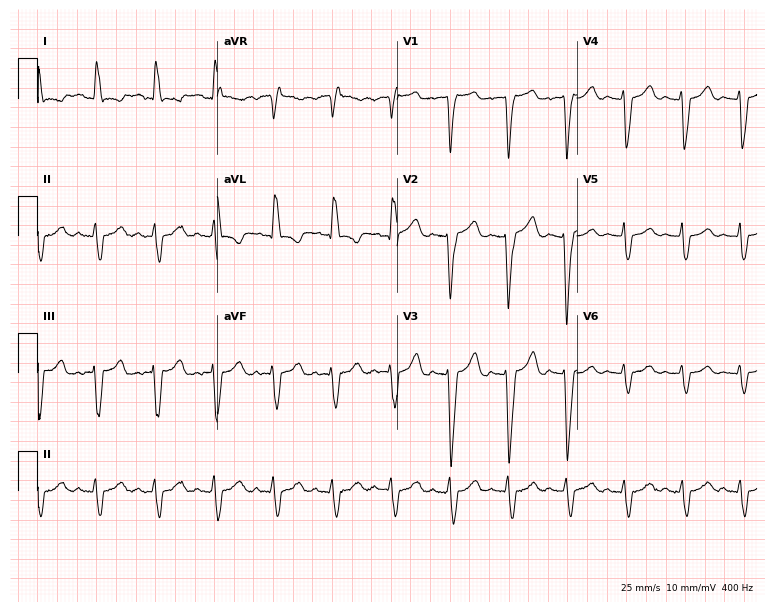
Resting 12-lead electrocardiogram (7.3-second recording at 400 Hz). Patient: a 58-year-old woman. The tracing shows left bundle branch block.